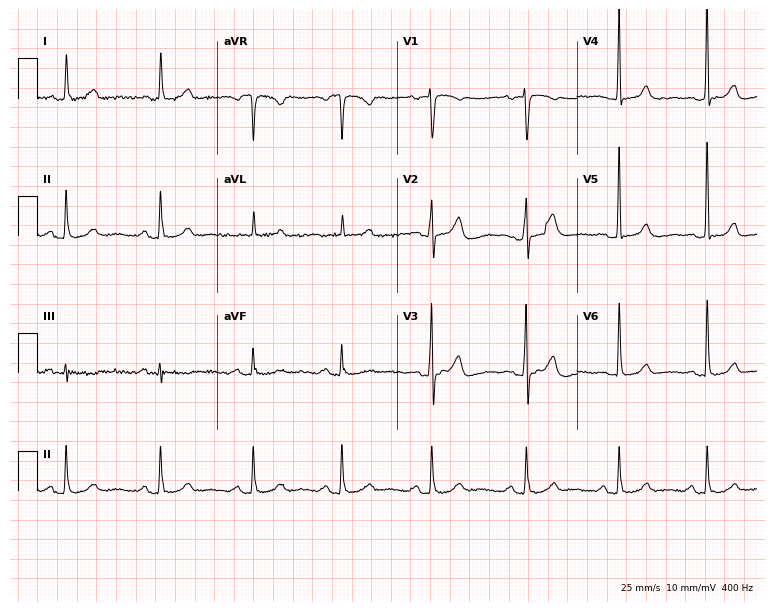
12-lead ECG (7.3-second recording at 400 Hz) from a 65-year-old female patient. Labelled as a normal ECG.